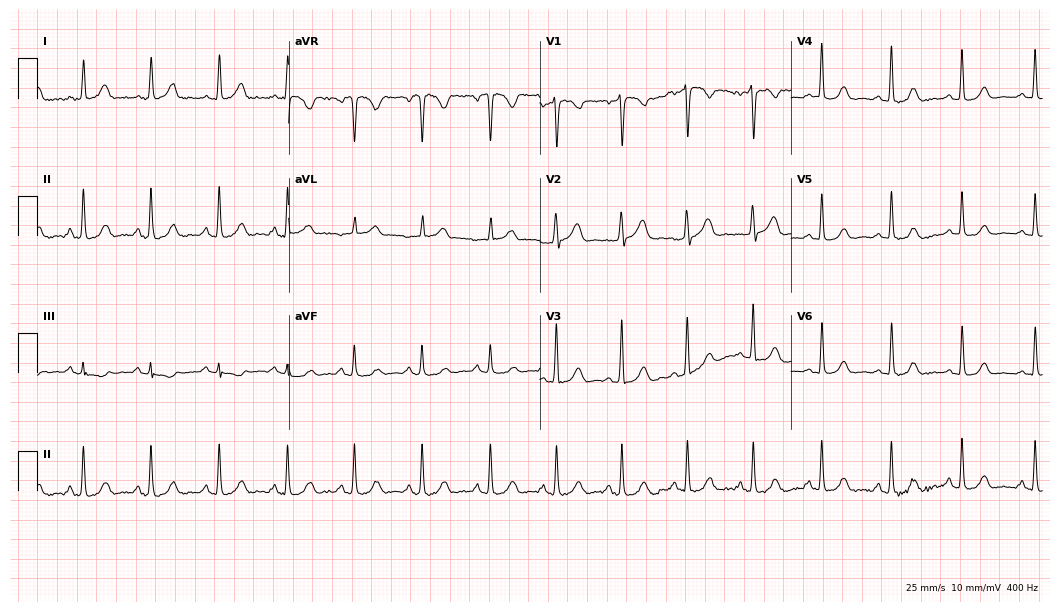
ECG (10.2-second recording at 400 Hz) — a female patient, 51 years old. Screened for six findings — first-degree AV block, right bundle branch block, left bundle branch block, sinus bradycardia, atrial fibrillation, sinus tachycardia — none is recorded.